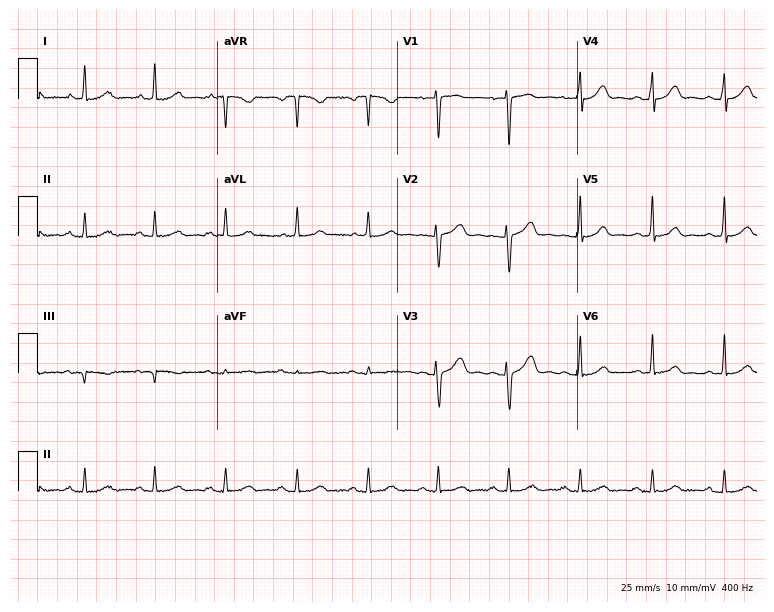
12-lead ECG from a 41-year-old female (7.3-second recording at 400 Hz). No first-degree AV block, right bundle branch block (RBBB), left bundle branch block (LBBB), sinus bradycardia, atrial fibrillation (AF) or sinus tachycardia recorded for this tracing.